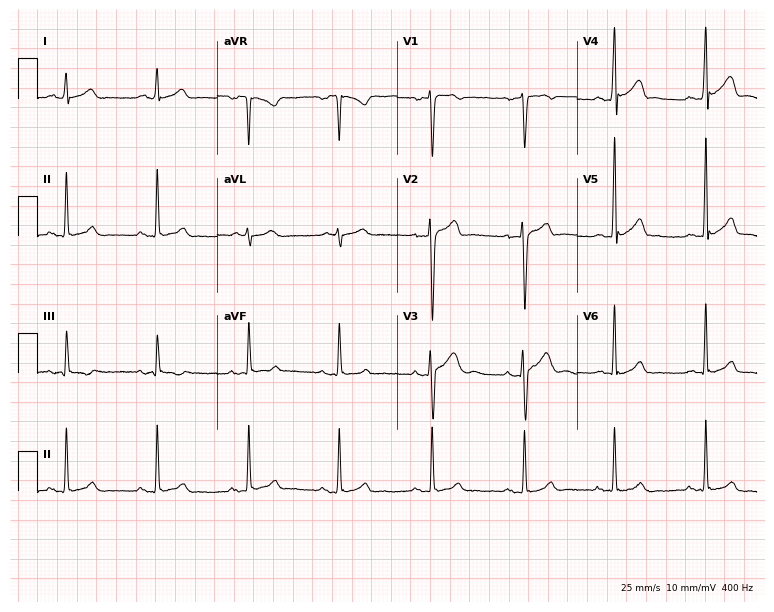
12-lead ECG (7.3-second recording at 400 Hz) from a 27-year-old man. Labelled as a normal ECG.